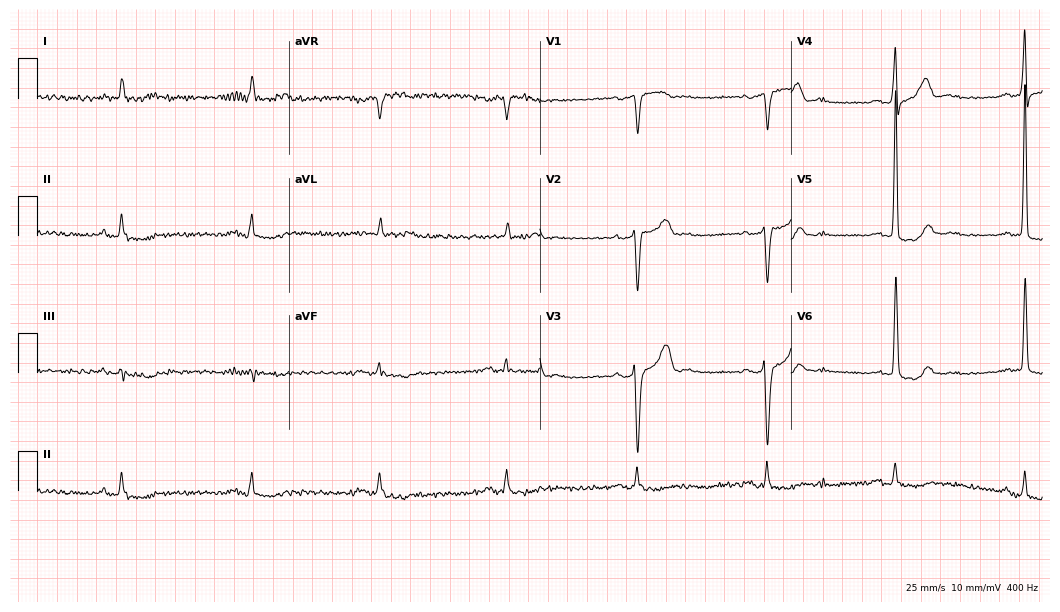
Resting 12-lead electrocardiogram (10.2-second recording at 400 Hz). Patient: a 78-year-old male. None of these six findings is recorded: first-degree AV block, right bundle branch block, left bundle branch block, sinus bradycardia, atrial fibrillation, sinus tachycardia. Only these six findings were labelled.